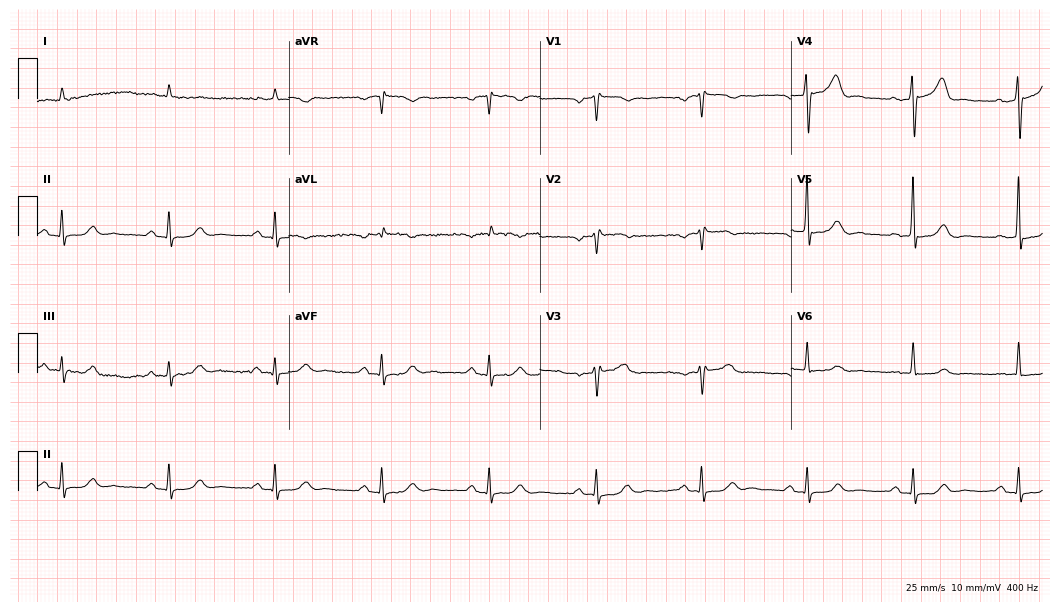
ECG — a male, 84 years old. Screened for six findings — first-degree AV block, right bundle branch block (RBBB), left bundle branch block (LBBB), sinus bradycardia, atrial fibrillation (AF), sinus tachycardia — none is recorded. Findings outside these six are not listed.